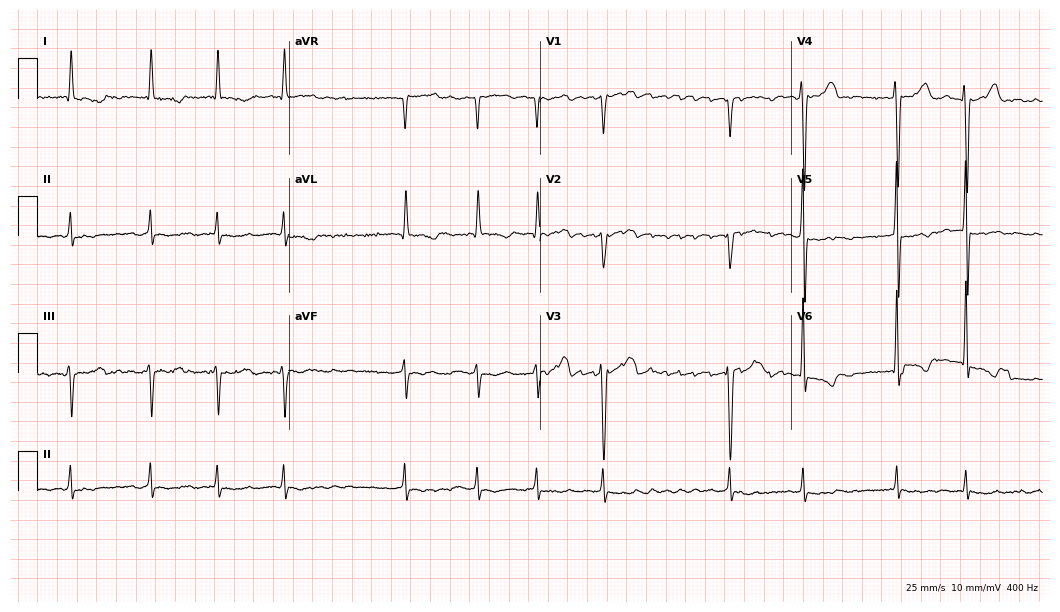
Standard 12-lead ECG recorded from a male, 74 years old. The tracing shows atrial fibrillation.